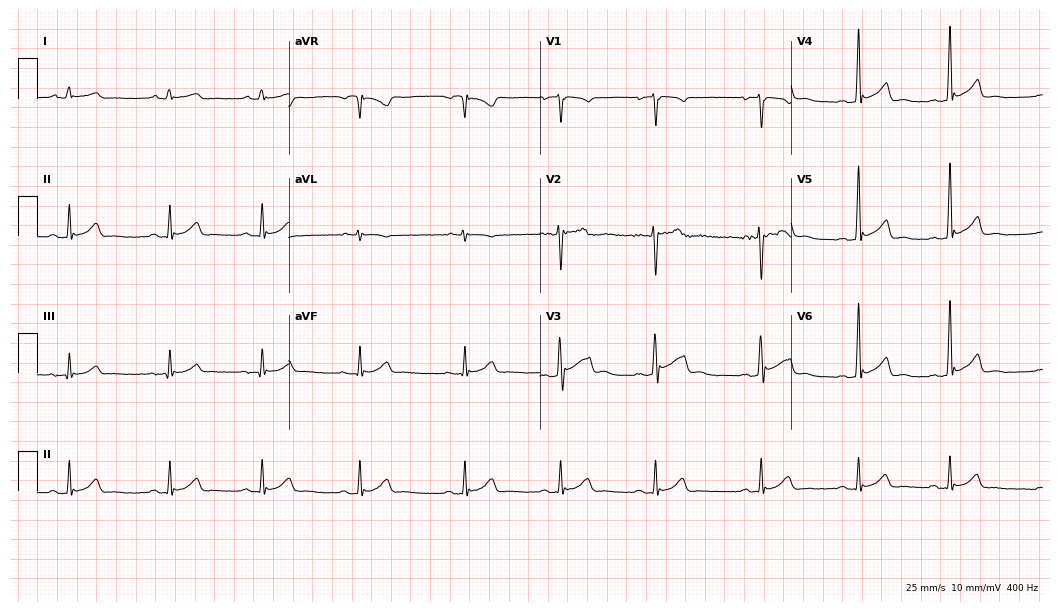
12-lead ECG from a male, 21 years old. Recorded interpretation: within normal limits.